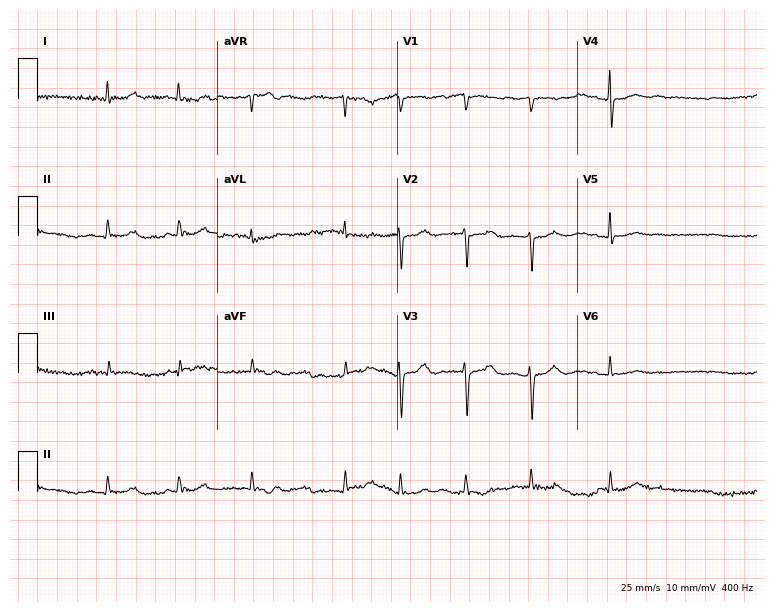
12-lead ECG from a 75-year-old female. Findings include atrial fibrillation.